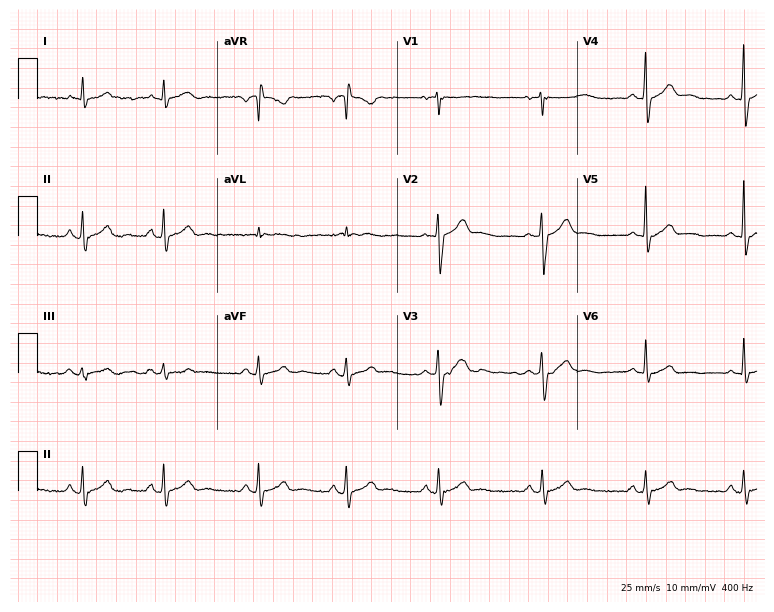
Electrocardiogram (7.3-second recording at 400 Hz), a 44-year-old male patient. Overall reading on record: normal ECG.